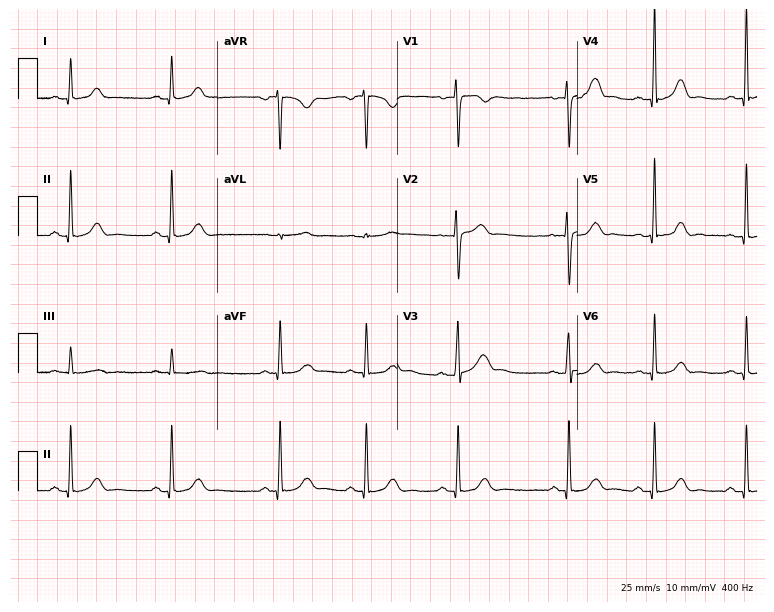
Standard 12-lead ECG recorded from a 40-year-old woman. Read as a normal ECG.